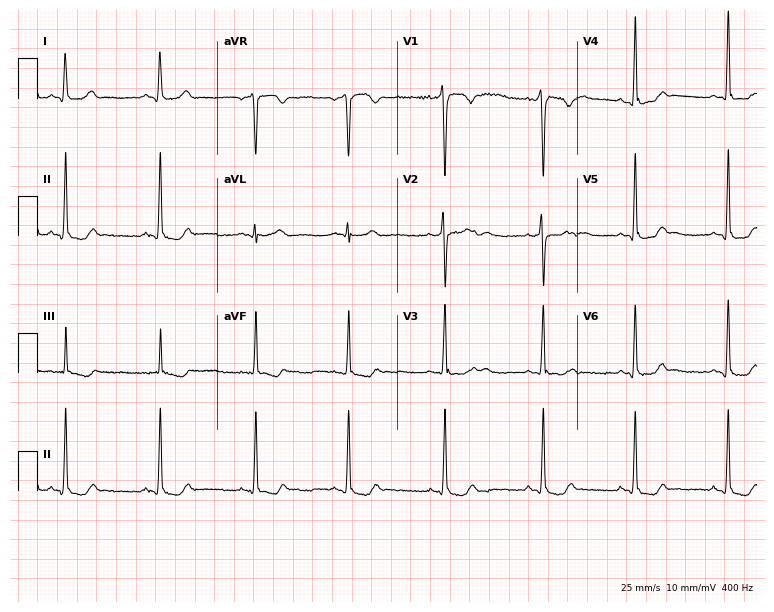
Electrocardiogram, a 23-year-old female. Overall reading on record: normal ECG.